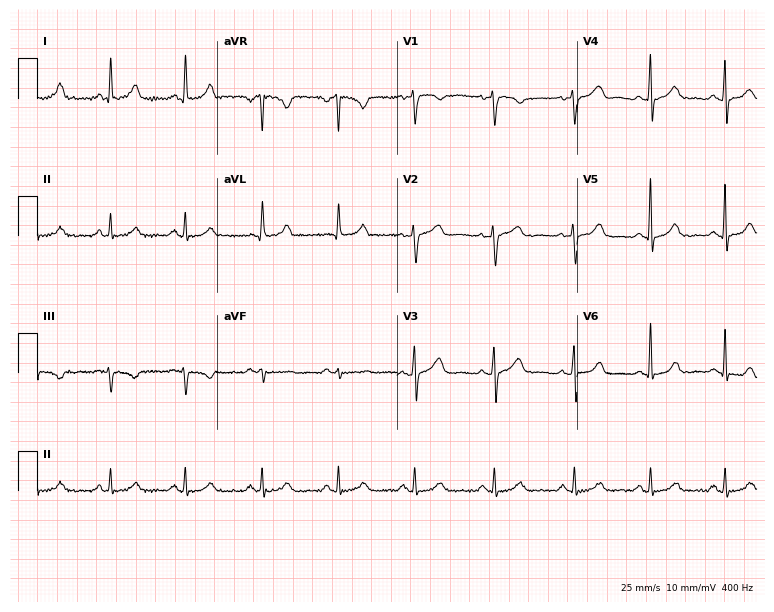
Resting 12-lead electrocardiogram. Patient: a 56-year-old woman. None of these six findings is recorded: first-degree AV block, right bundle branch block, left bundle branch block, sinus bradycardia, atrial fibrillation, sinus tachycardia.